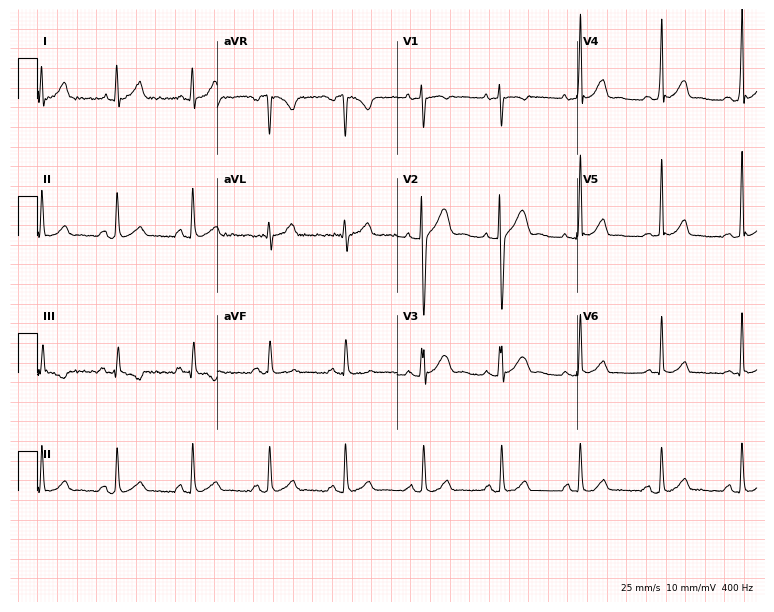
Resting 12-lead electrocardiogram. Patient: a 33-year-old male. Read as a normal ECG.